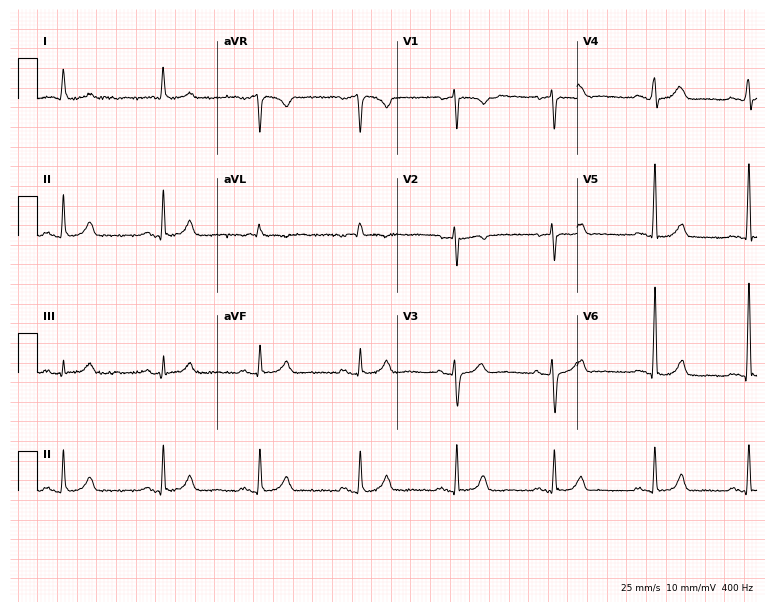
12-lead ECG from a female, 71 years old (7.3-second recording at 400 Hz). Recorded interpretation: within normal limits.